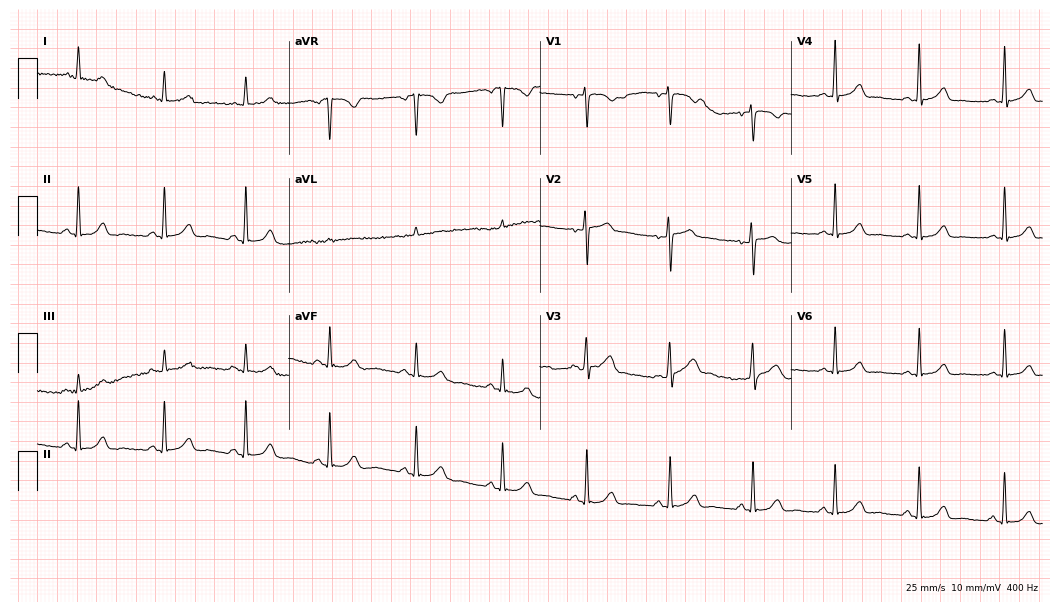
12-lead ECG (10.2-second recording at 400 Hz) from a 36-year-old female. Labelled as a normal ECG.